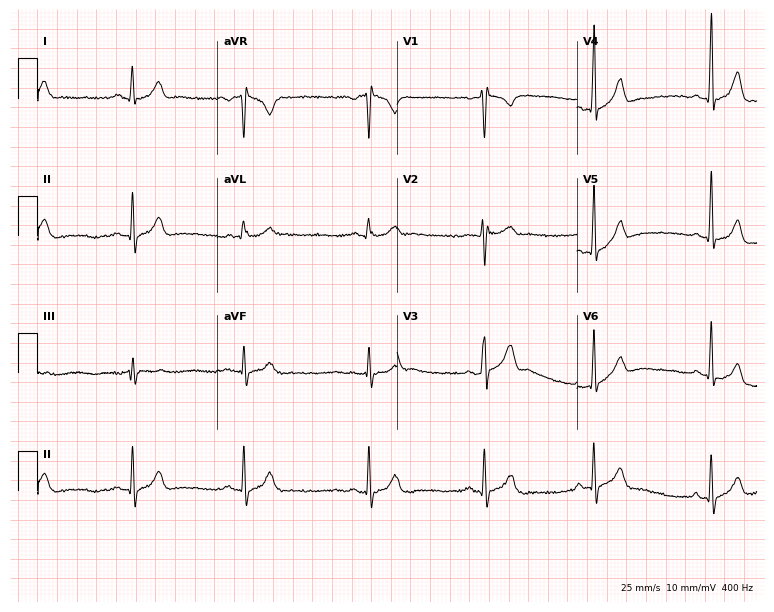
Resting 12-lead electrocardiogram. Patient: a 19-year-old male. Read as a normal ECG.